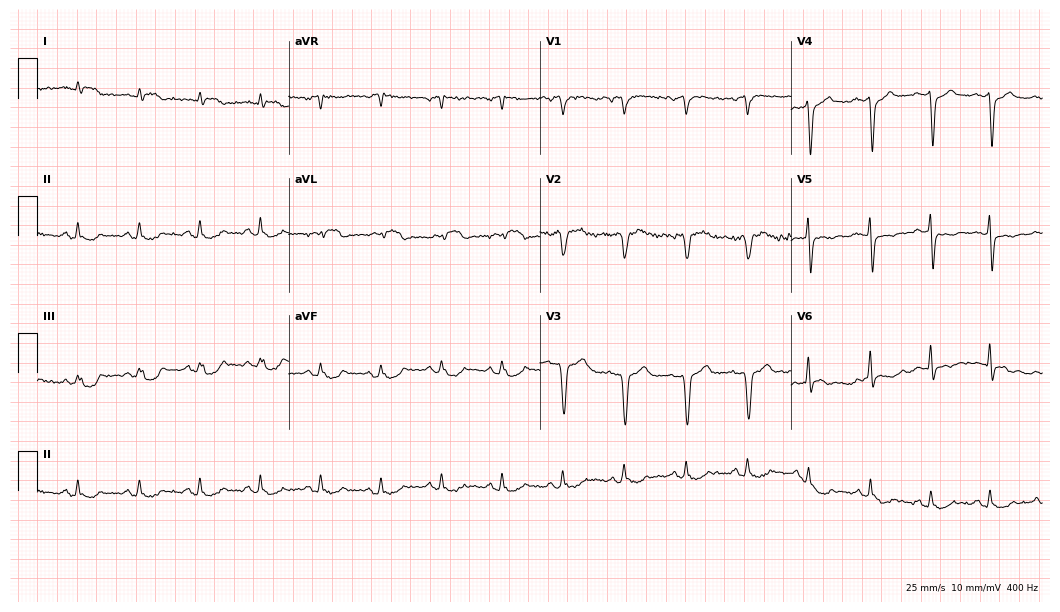
ECG (10.2-second recording at 400 Hz) — an 82-year-old man. Screened for six findings — first-degree AV block, right bundle branch block, left bundle branch block, sinus bradycardia, atrial fibrillation, sinus tachycardia — none is recorded. Only these six findings were labelled.